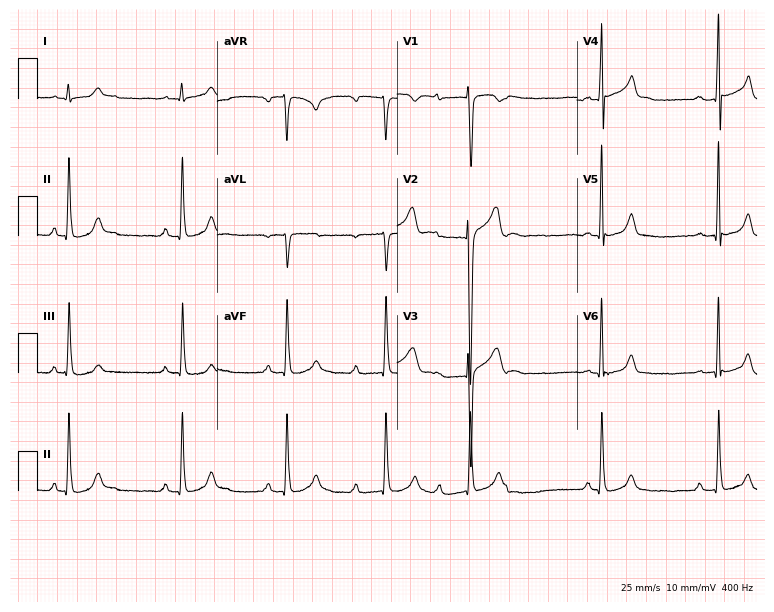
ECG — an 18-year-old male. Labelled as a normal ECG.